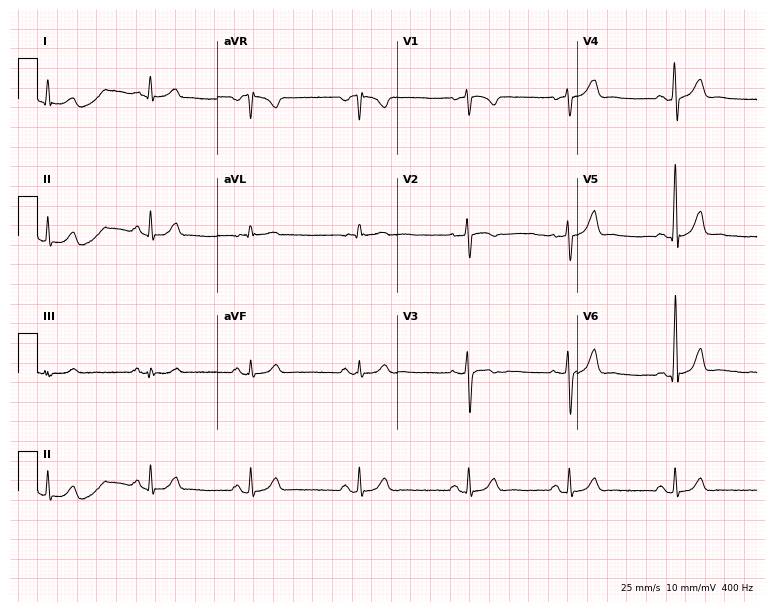
ECG — a male, 45 years old. Labelled as a normal ECG.